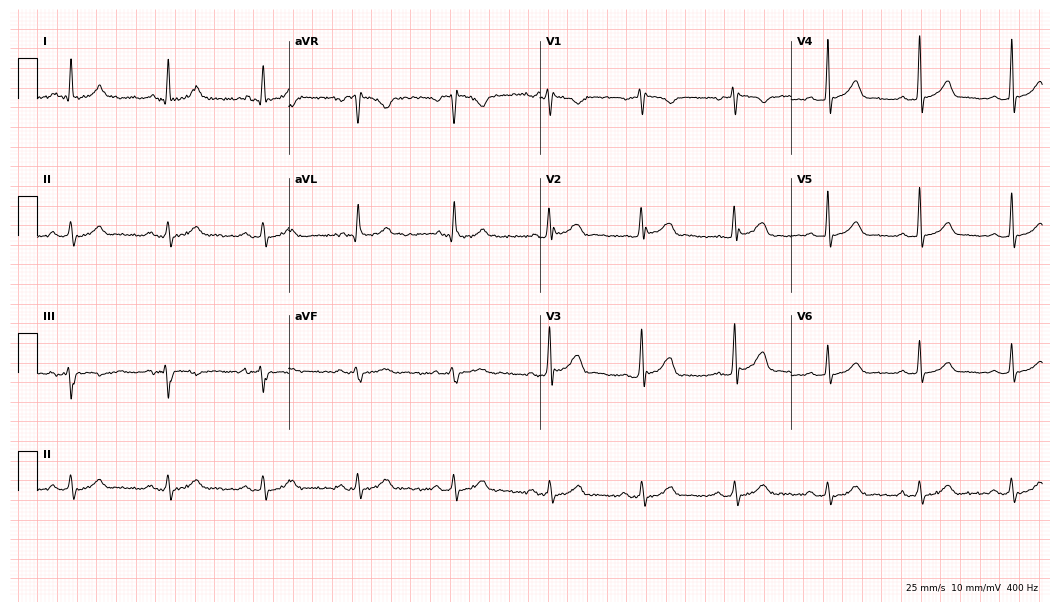
Standard 12-lead ECG recorded from a 50-year-old male (10.2-second recording at 400 Hz). Read as a normal ECG.